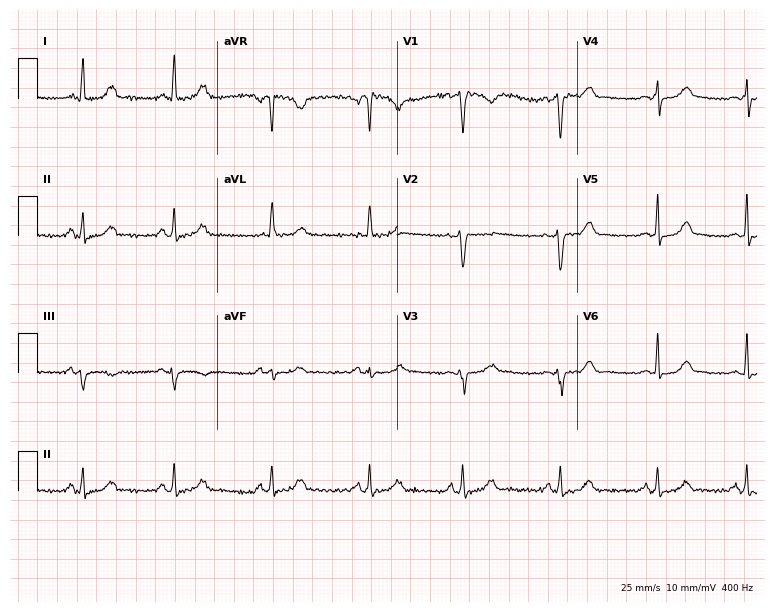
Resting 12-lead electrocardiogram (7.3-second recording at 400 Hz). Patient: a 32-year-old woman. Read as a normal ECG.